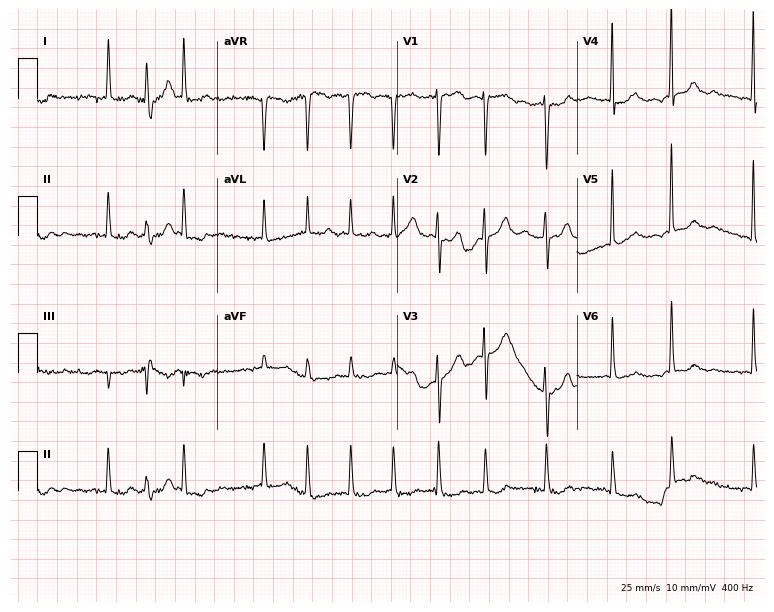
Standard 12-lead ECG recorded from a 73-year-old woman. The tracing shows atrial fibrillation.